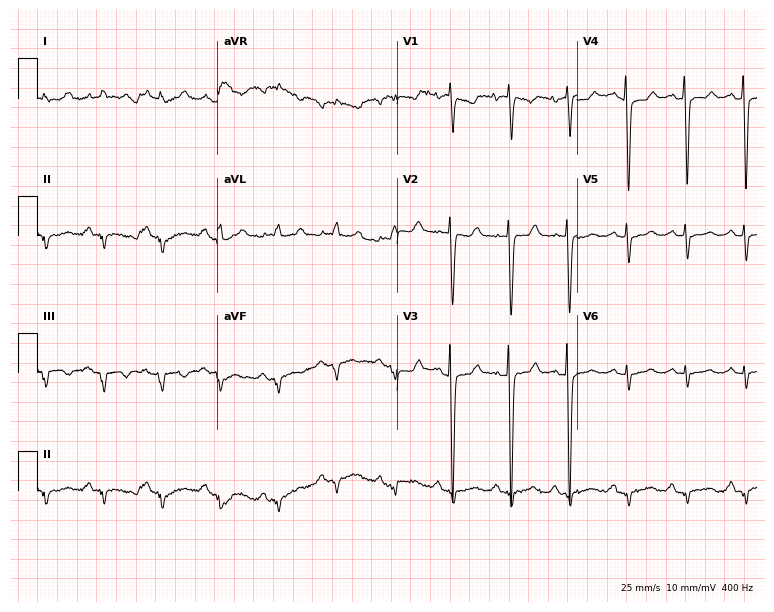
Electrocardiogram (7.3-second recording at 400 Hz), an 80-year-old man. Of the six screened findings (first-degree AV block, right bundle branch block, left bundle branch block, sinus bradycardia, atrial fibrillation, sinus tachycardia), none is recorded.